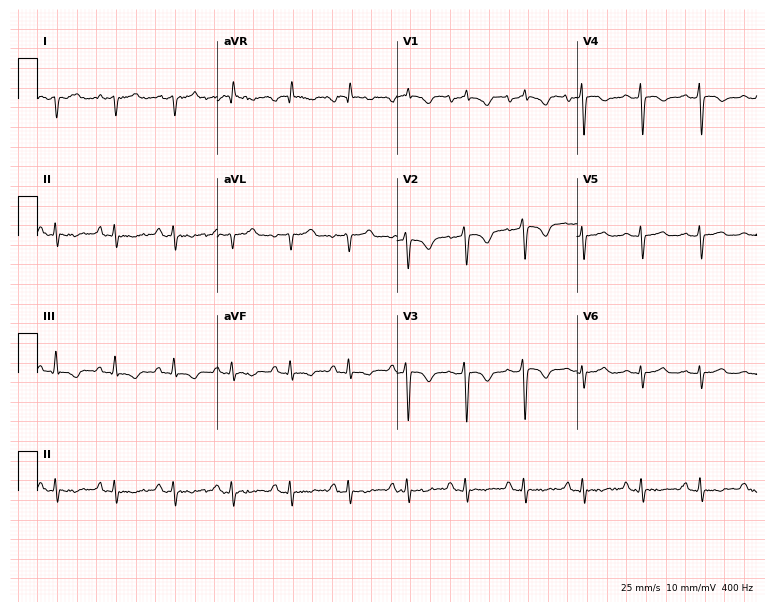
Standard 12-lead ECG recorded from a female, 28 years old (7.3-second recording at 400 Hz). None of these six findings is recorded: first-degree AV block, right bundle branch block, left bundle branch block, sinus bradycardia, atrial fibrillation, sinus tachycardia.